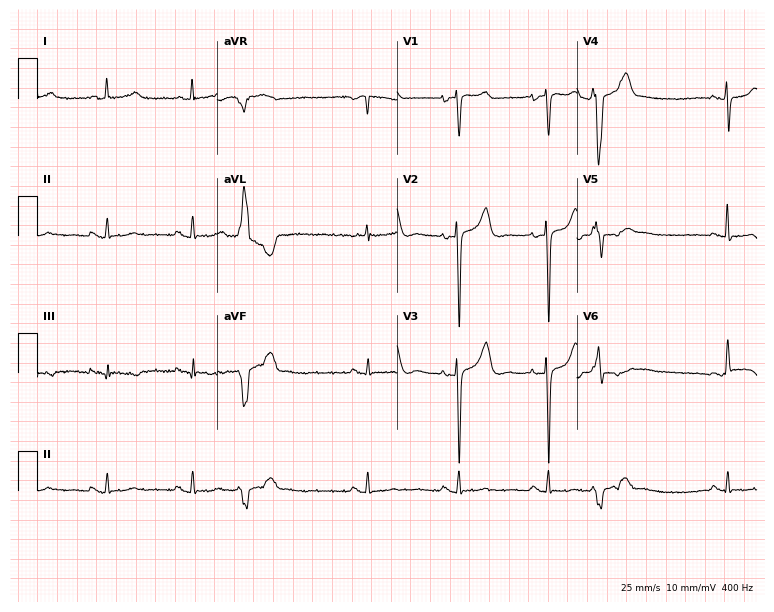
Electrocardiogram, a 74-year-old female patient. Of the six screened findings (first-degree AV block, right bundle branch block, left bundle branch block, sinus bradycardia, atrial fibrillation, sinus tachycardia), none is recorded.